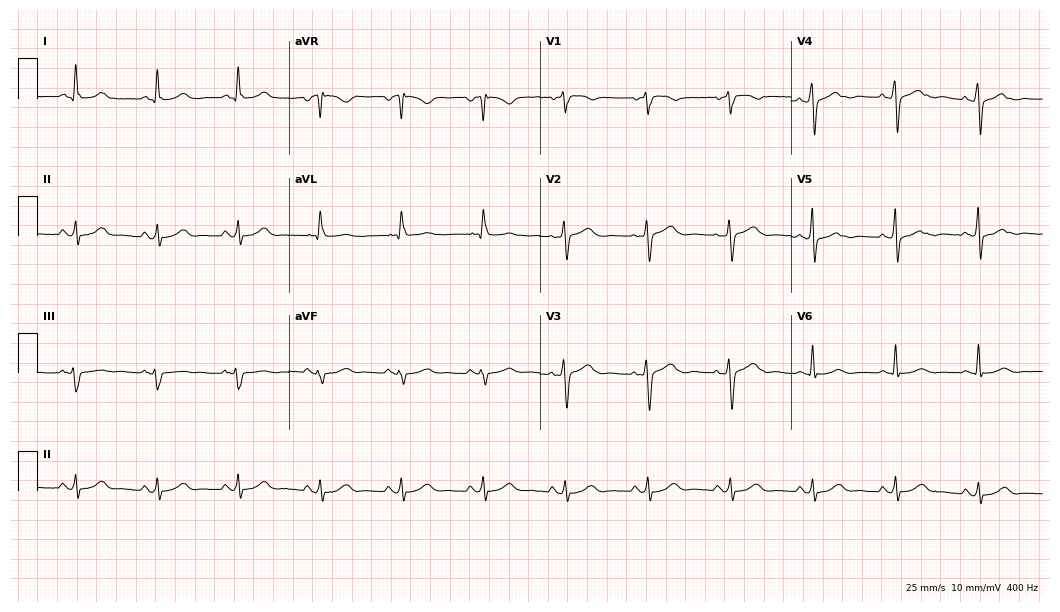
Electrocardiogram, a woman, 65 years old. Of the six screened findings (first-degree AV block, right bundle branch block (RBBB), left bundle branch block (LBBB), sinus bradycardia, atrial fibrillation (AF), sinus tachycardia), none is recorded.